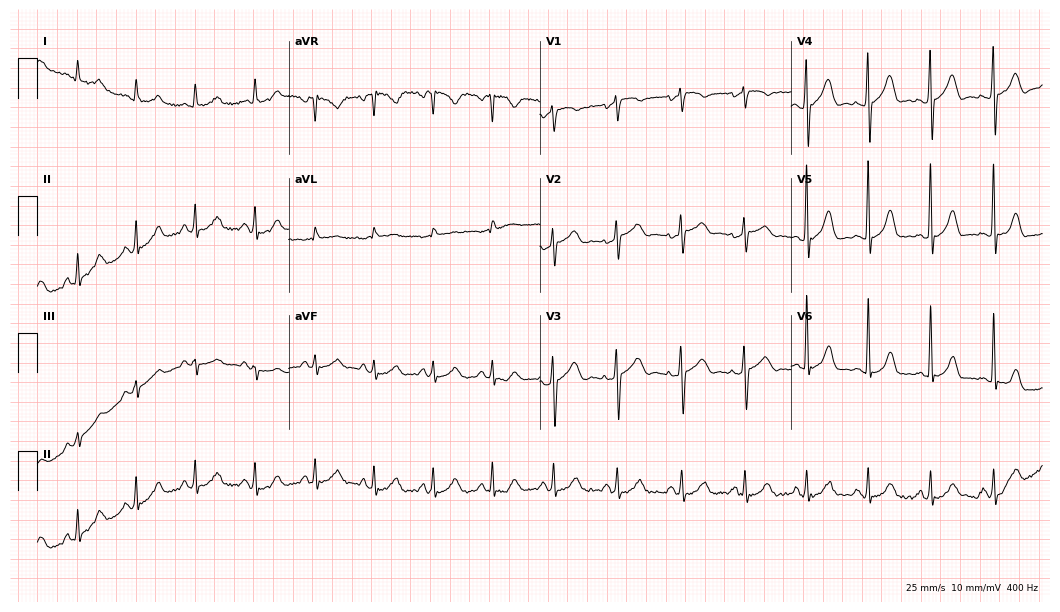
ECG — a 53-year-old woman. Screened for six findings — first-degree AV block, right bundle branch block (RBBB), left bundle branch block (LBBB), sinus bradycardia, atrial fibrillation (AF), sinus tachycardia — none is recorded.